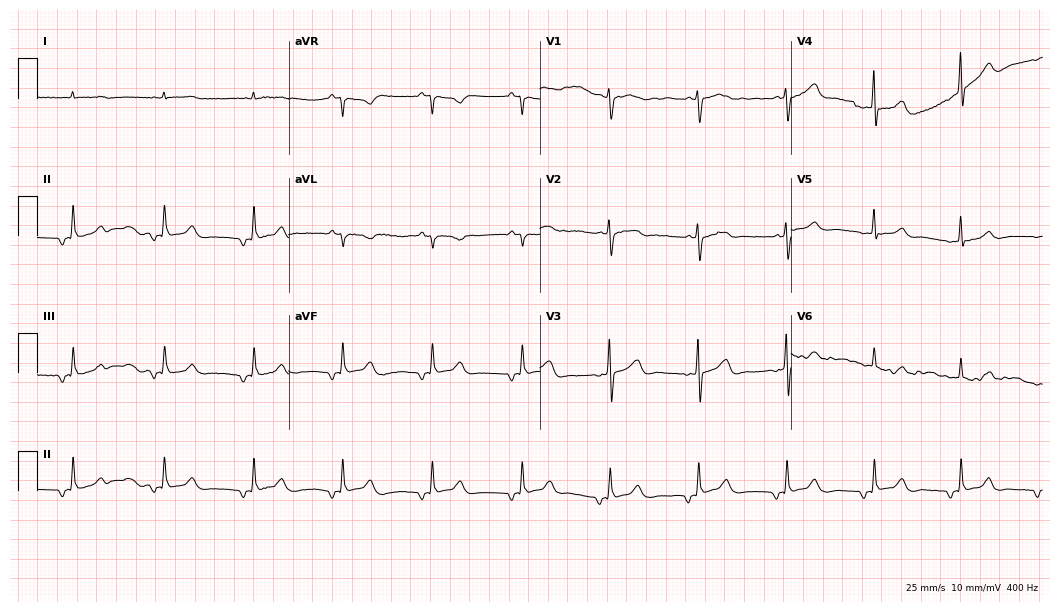
Resting 12-lead electrocardiogram (10.2-second recording at 400 Hz). Patient: a 79-year-old male. None of these six findings is recorded: first-degree AV block, right bundle branch block (RBBB), left bundle branch block (LBBB), sinus bradycardia, atrial fibrillation (AF), sinus tachycardia.